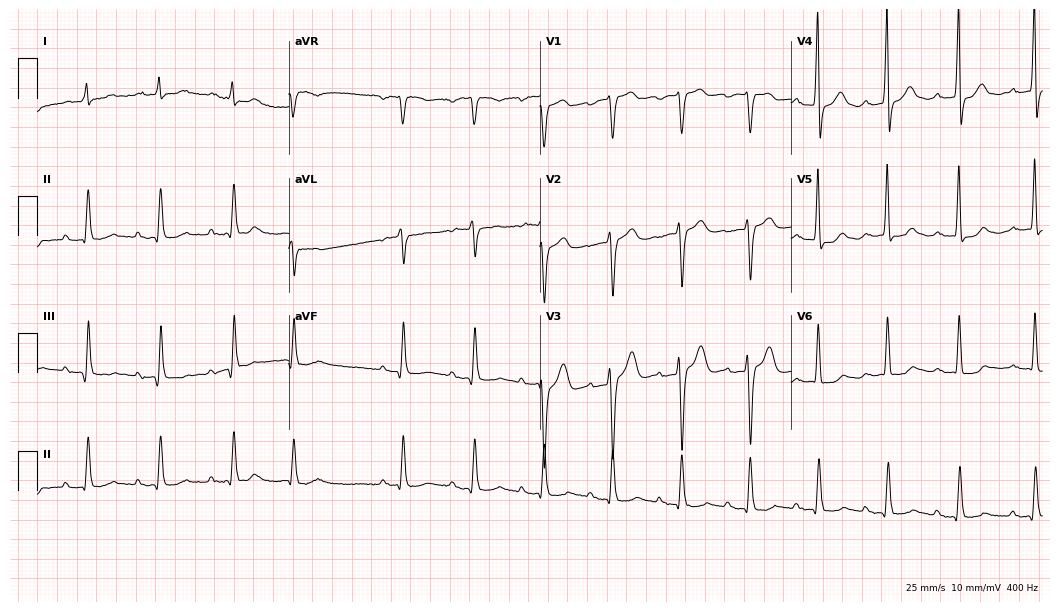
ECG — a man, 80 years old. Findings include first-degree AV block.